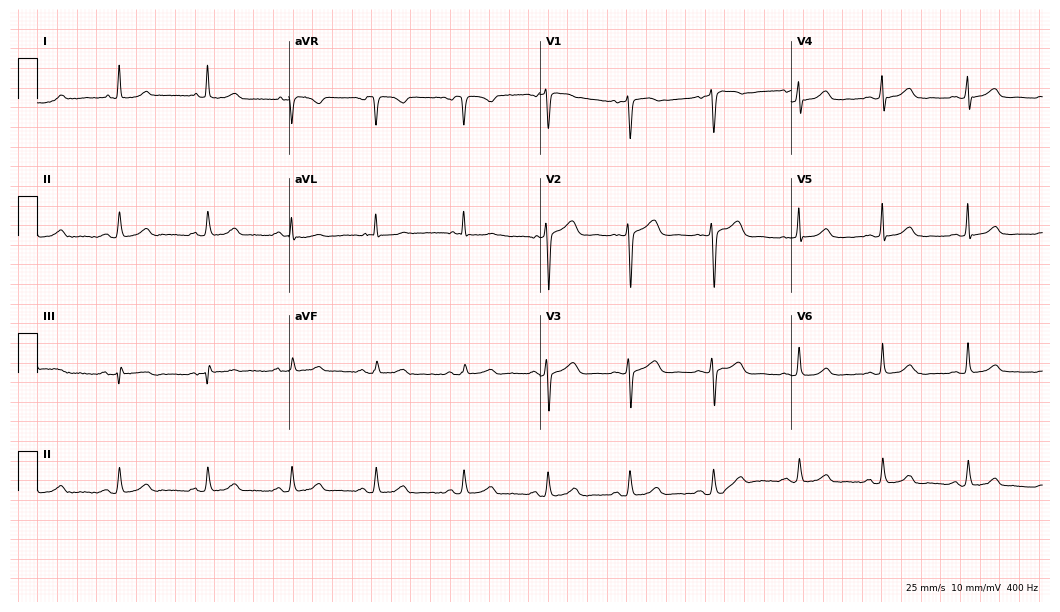
12-lead ECG from a 49-year-old female. Labelled as a normal ECG.